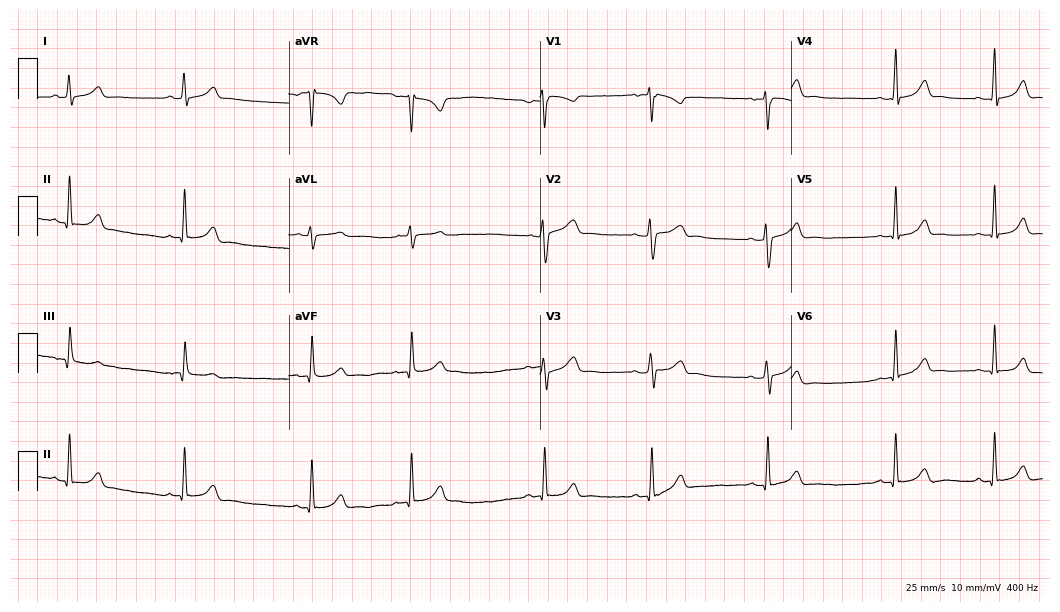
12-lead ECG from a 20-year-old female patient. Labelled as a normal ECG.